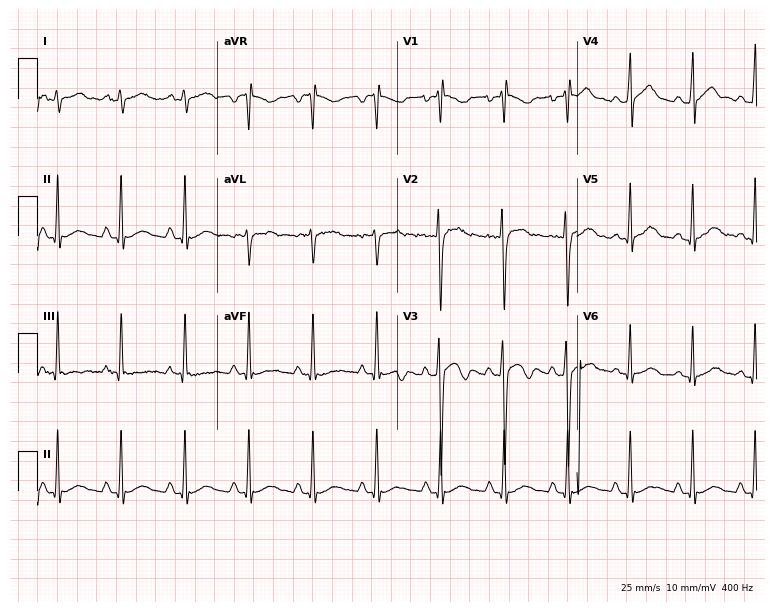
12-lead ECG (7.3-second recording at 400 Hz) from a male, 25 years old. Screened for six findings — first-degree AV block, right bundle branch block, left bundle branch block, sinus bradycardia, atrial fibrillation, sinus tachycardia — none is recorded. Findings outside these six are not listed.